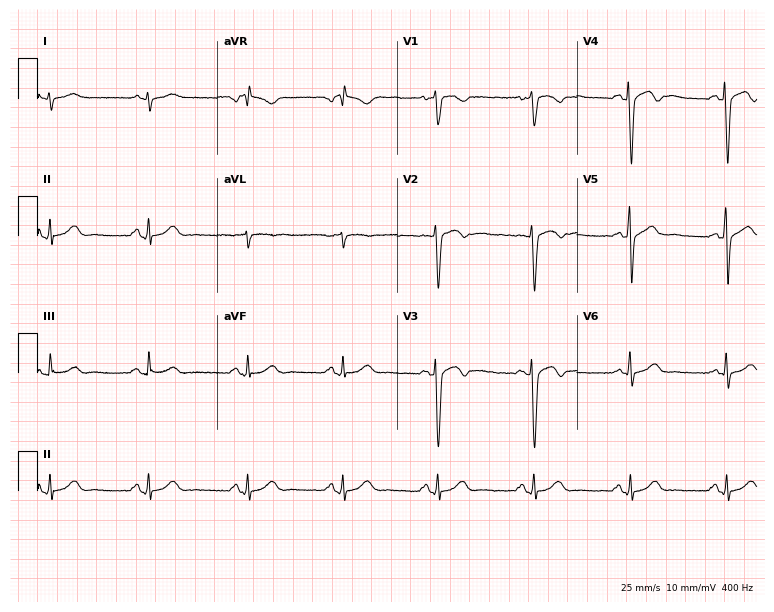
Resting 12-lead electrocardiogram. Patient: a male, 28 years old. Read as a normal ECG.